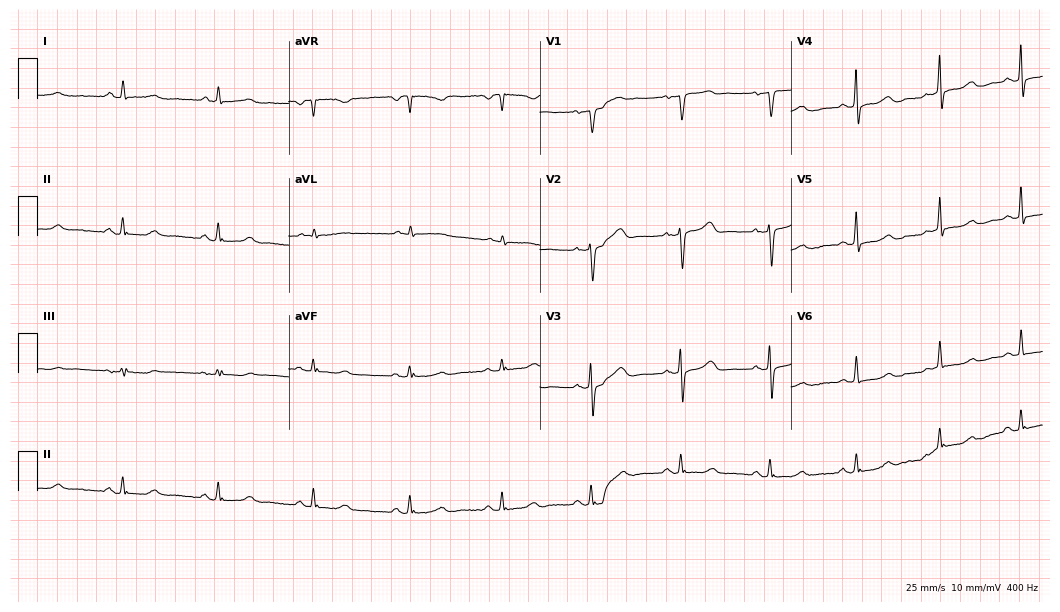
12-lead ECG from a woman, 65 years old. Recorded interpretation: within normal limits.